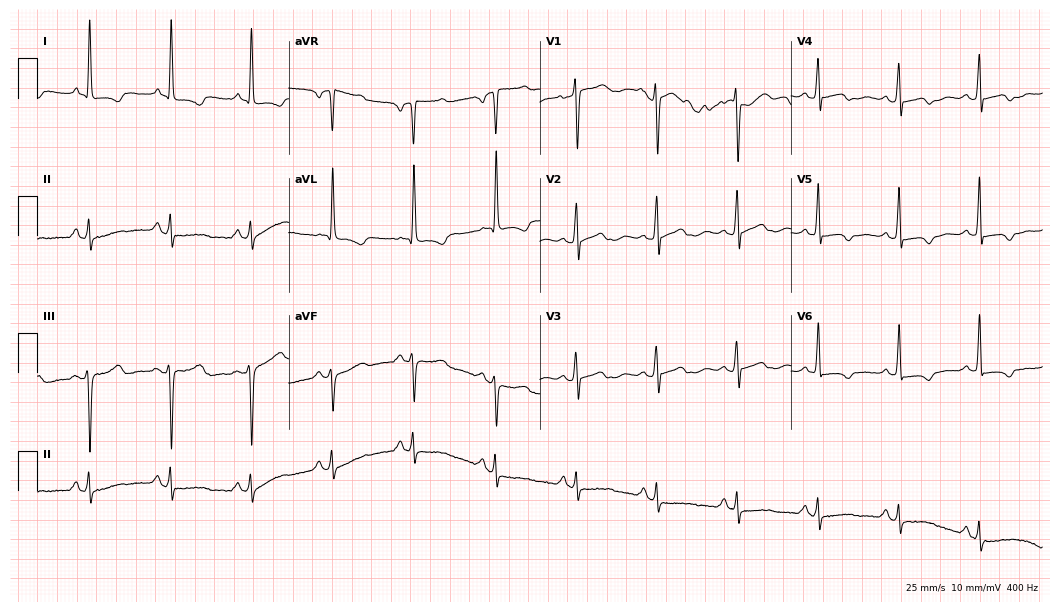
Standard 12-lead ECG recorded from a 77-year-old woman (10.2-second recording at 400 Hz). None of these six findings is recorded: first-degree AV block, right bundle branch block, left bundle branch block, sinus bradycardia, atrial fibrillation, sinus tachycardia. Findings outside these six are not listed.